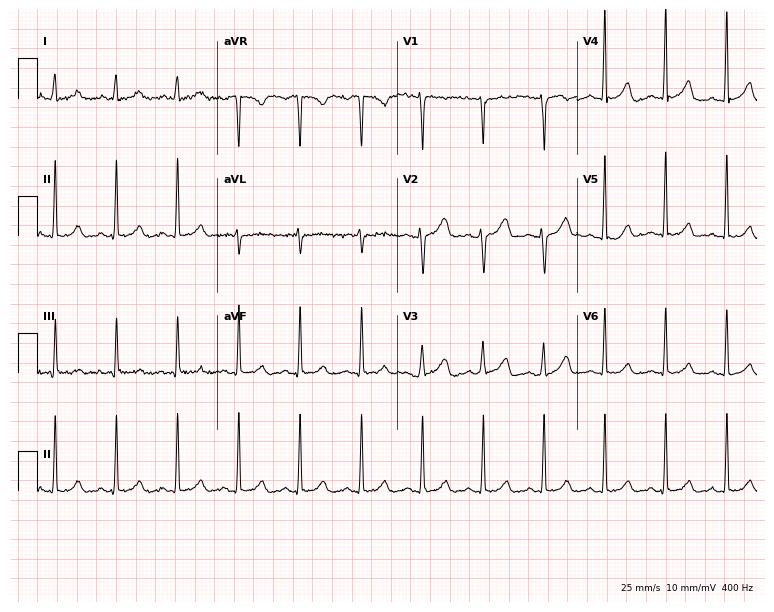
12-lead ECG from a 22-year-old woman. Recorded interpretation: within normal limits.